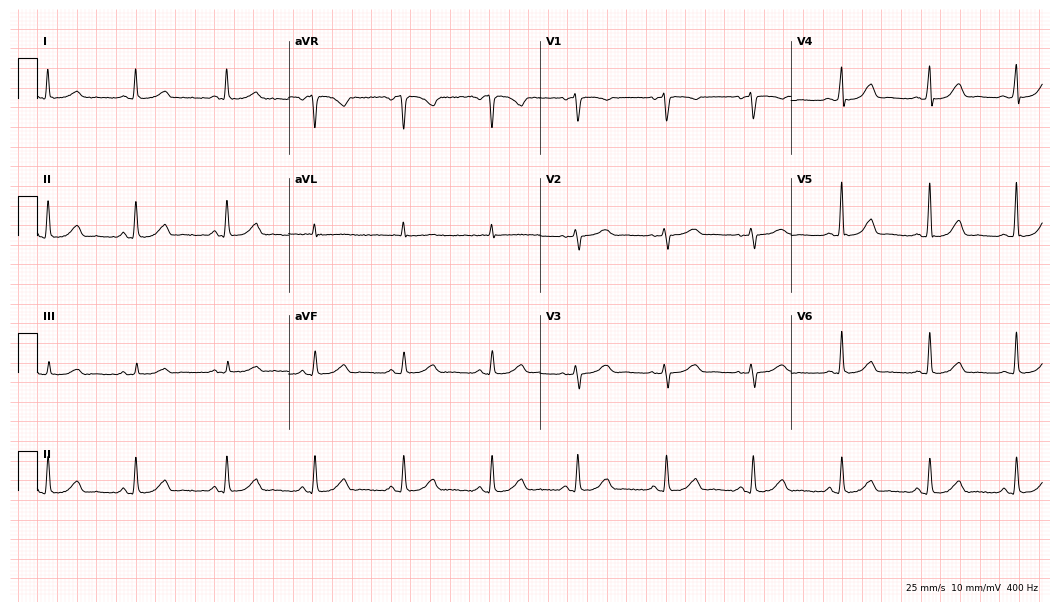
Resting 12-lead electrocardiogram. Patient: a 60-year-old female. Read as a normal ECG.